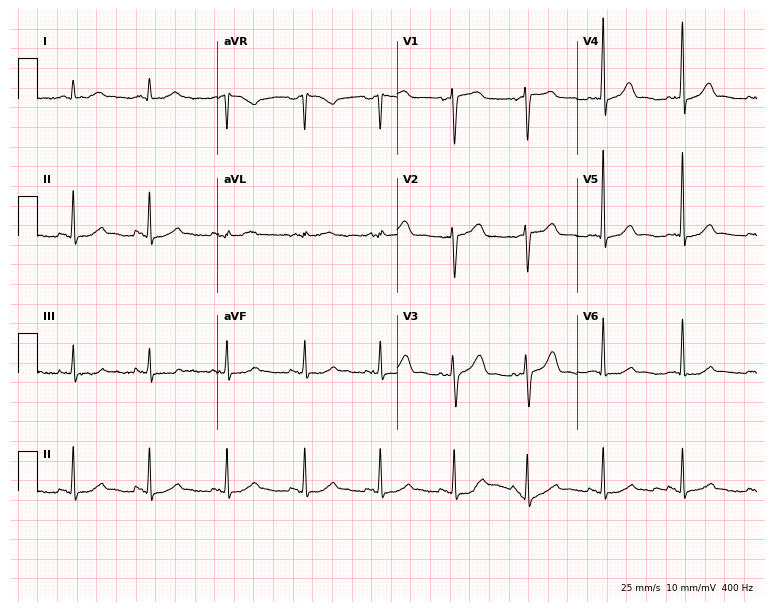
12-lead ECG from a female, 55 years old (7.3-second recording at 400 Hz). Recorded interpretation: within normal limits.